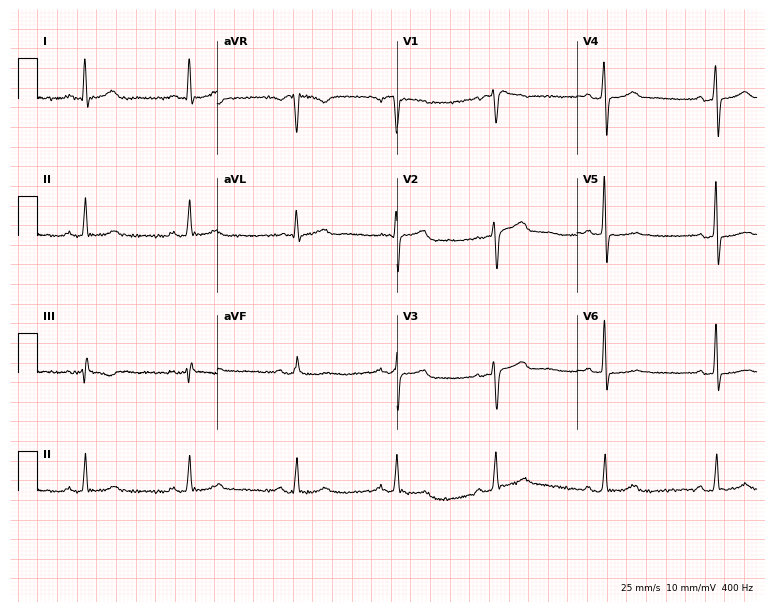
Standard 12-lead ECG recorded from a 50-year-old female patient (7.3-second recording at 400 Hz). None of these six findings is recorded: first-degree AV block, right bundle branch block (RBBB), left bundle branch block (LBBB), sinus bradycardia, atrial fibrillation (AF), sinus tachycardia. Only these six findings were labelled.